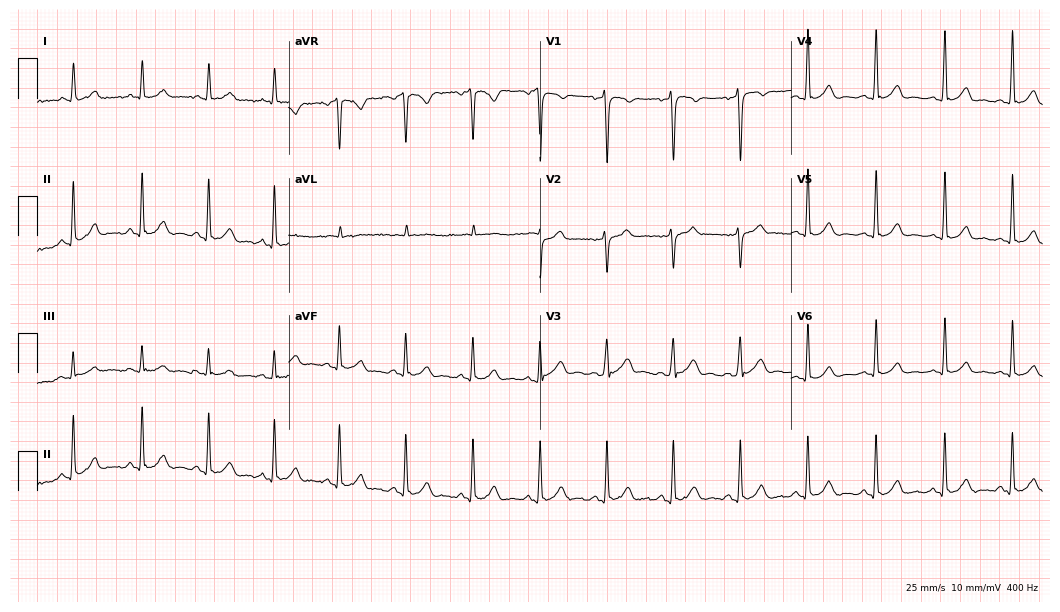
ECG — a 21-year-old male. Labelled as a normal ECG.